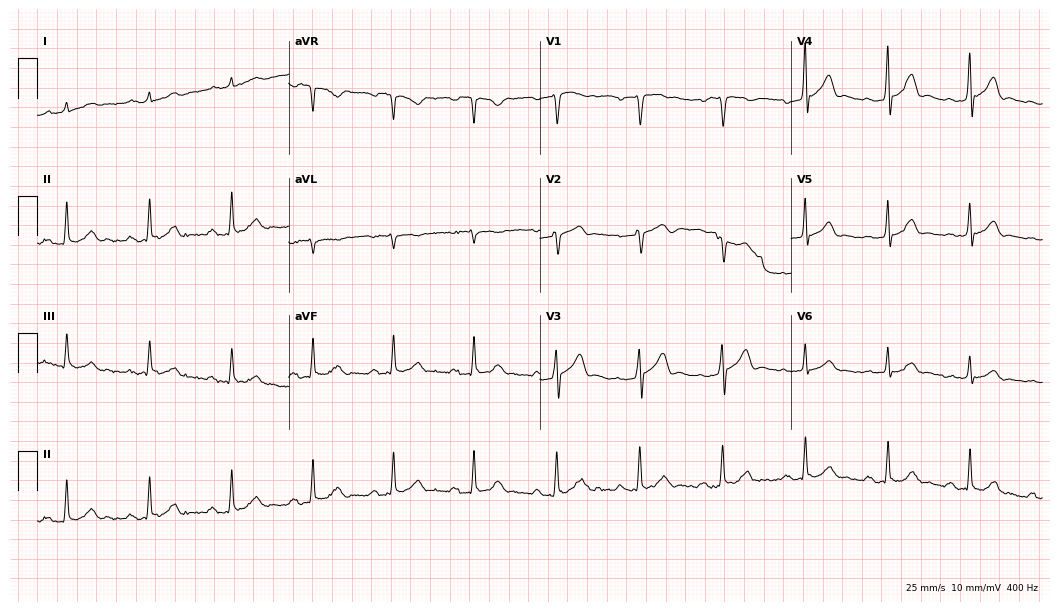
Resting 12-lead electrocardiogram. Patient: a male, 54 years old. Read as a normal ECG.